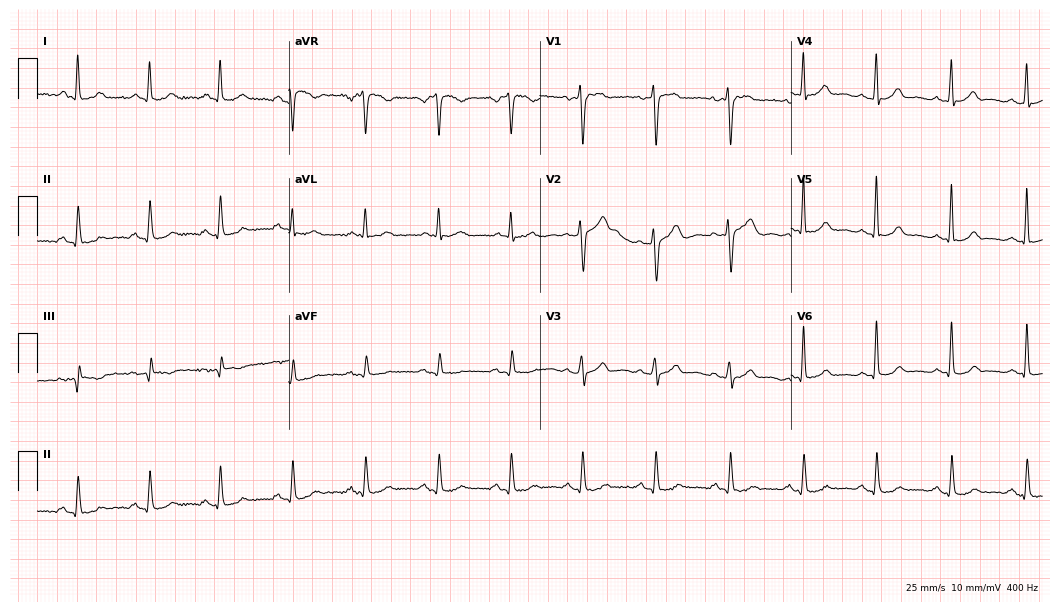
12-lead ECG from a 45-year-old female patient. Labelled as a normal ECG.